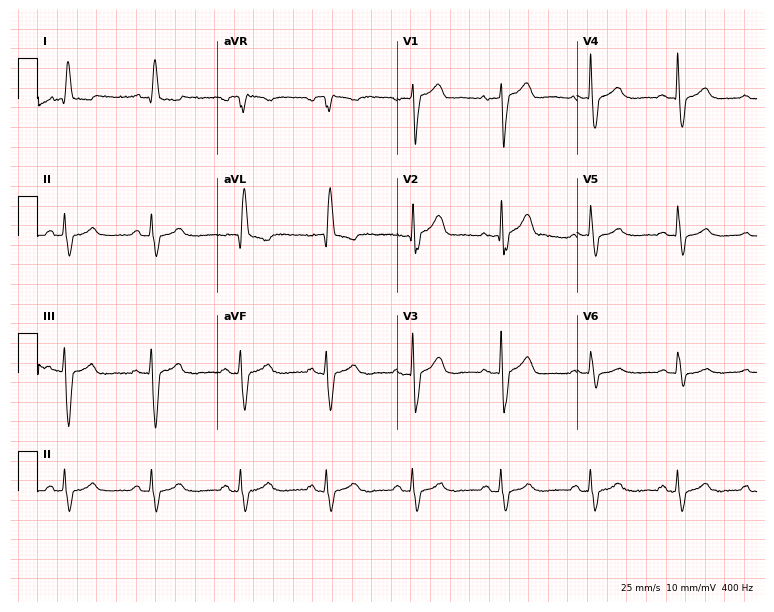
Standard 12-lead ECG recorded from a female patient, 74 years old (7.3-second recording at 400 Hz). None of these six findings is recorded: first-degree AV block, right bundle branch block, left bundle branch block, sinus bradycardia, atrial fibrillation, sinus tachycardia.